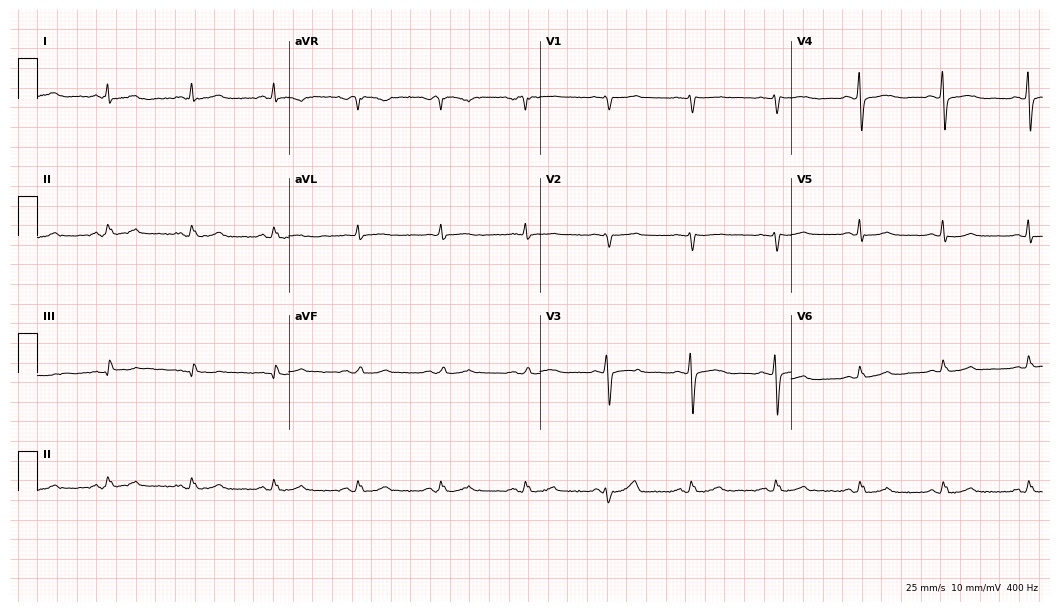
Resting 12-lead electrocardiogram. Patient: a 61-year-old woman. Read as a normal ECG.